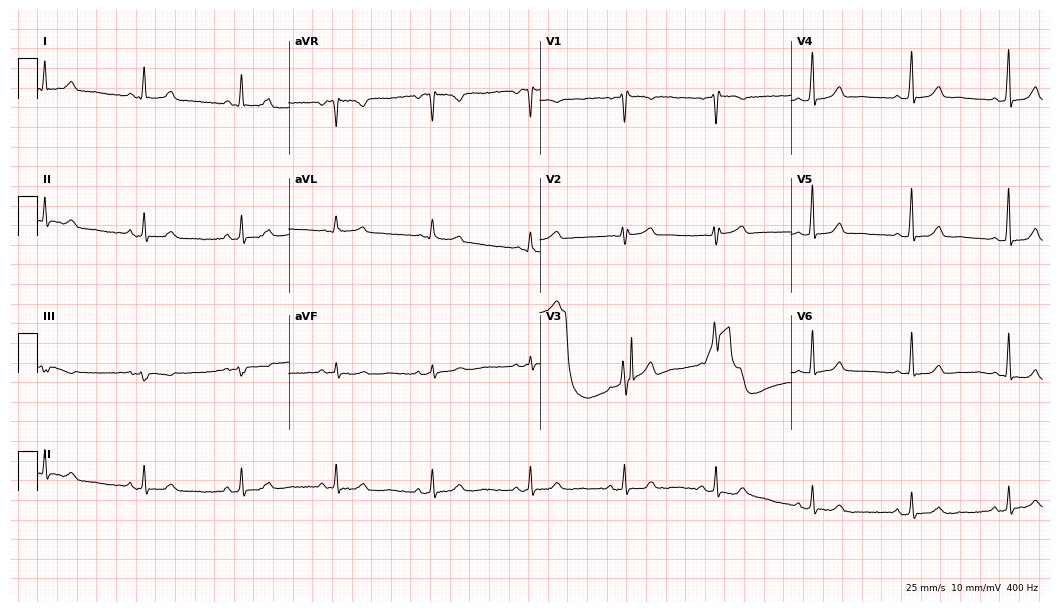
ECG — a 45-year-old woman. Labelled as a normal ECG.